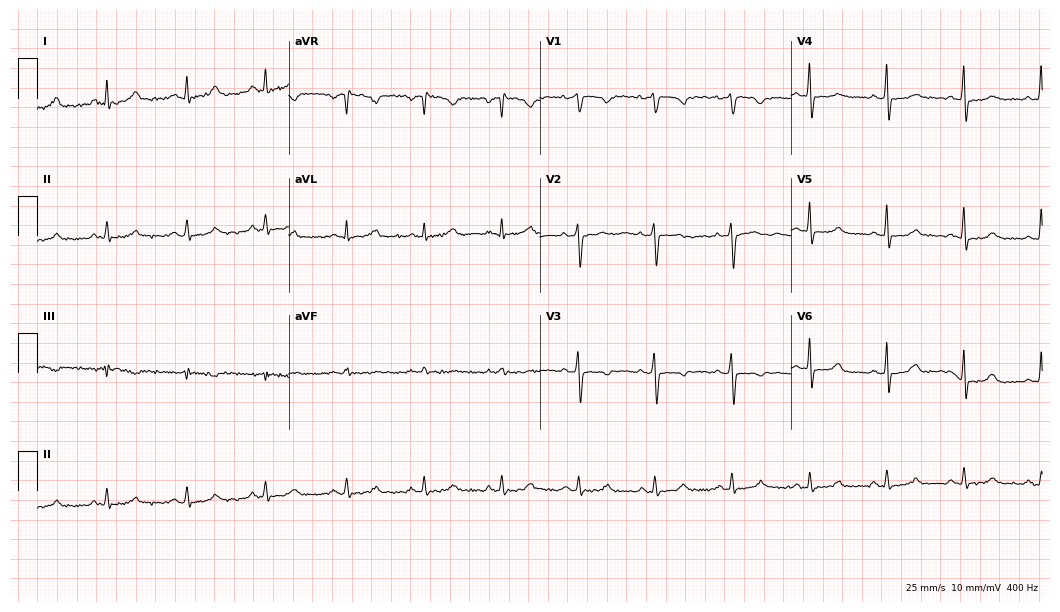
Electrocardiogram, a 47-year-old female patient. Of the six screened findings (first-degree AV block, right bundle branch block (RBBB), left bundle branch block (LBBB), sinus bradycardia, atrial fibrillation (AF), sinus tachycardia), none is recorded.